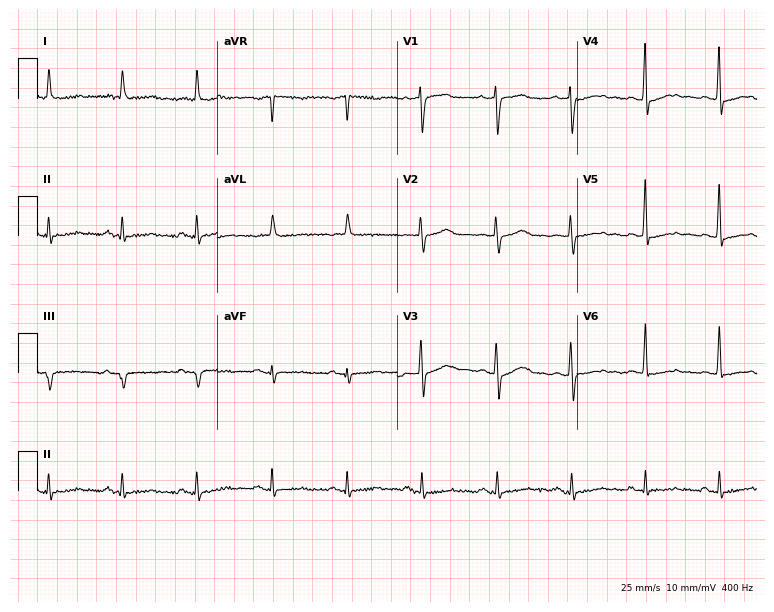
12-lead ECG from a female, 89 years old (7.3-second recording at 400 Hz). No first-degree AV block, right bundle branch block (RBBB), left bundle branch block (LBBB), sinus bradycardia, atrial fibrillation (AF) or sinus tachycardia recorded for this tracing.